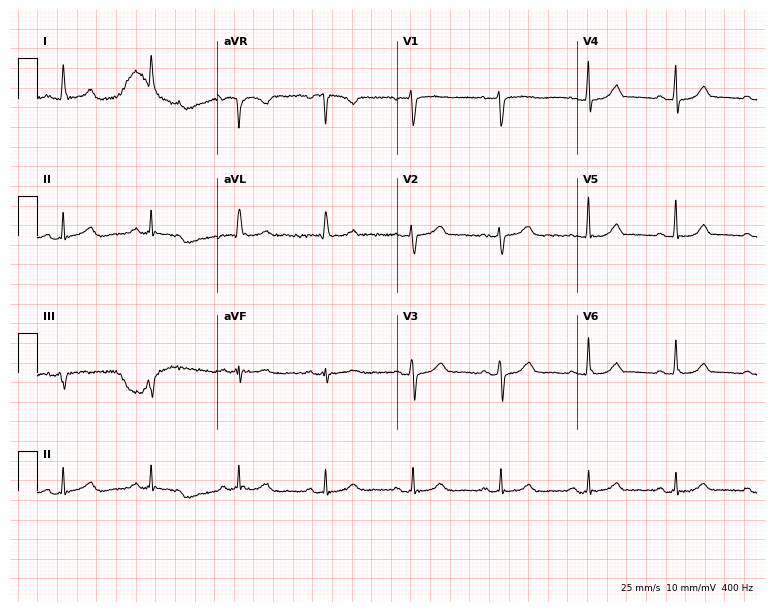
12-lead ECG (7.3-second recording at 400 Hz) from a woman, 68 years old. Labelled as a normal ECG.